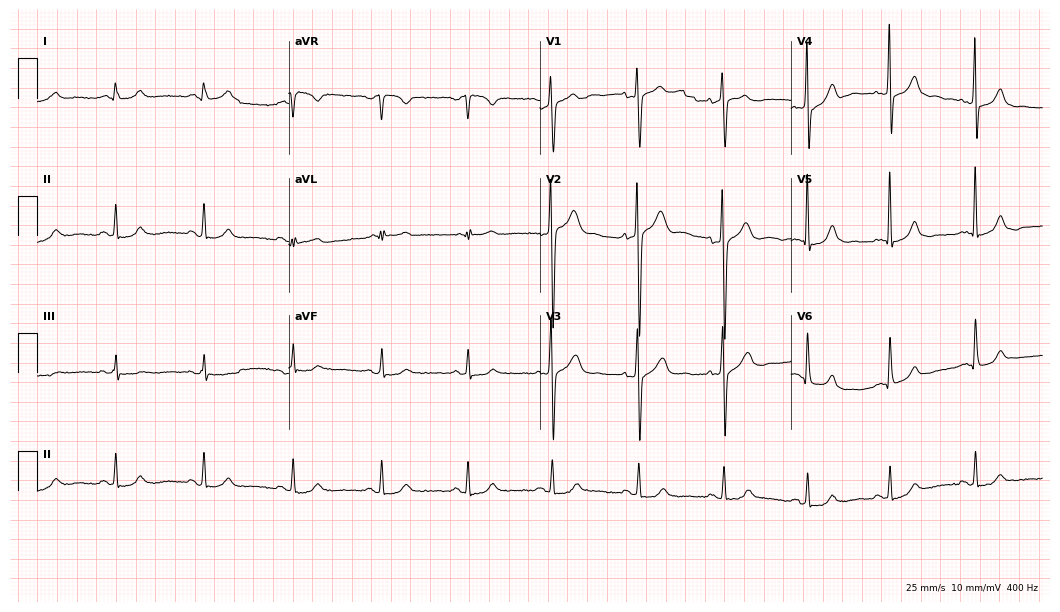
ECG (10.2-second recording at 400 Hz) — a 60-year-old man. Labelled as a normal ECG.